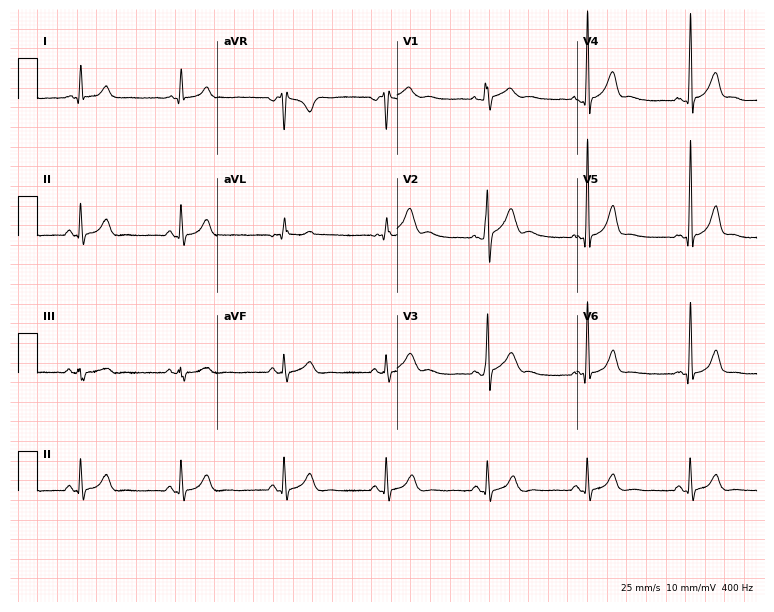
ECG (7.3-second recording at 400 Hz) — a 40-year-old male patient. Labelled as a normal ECG.